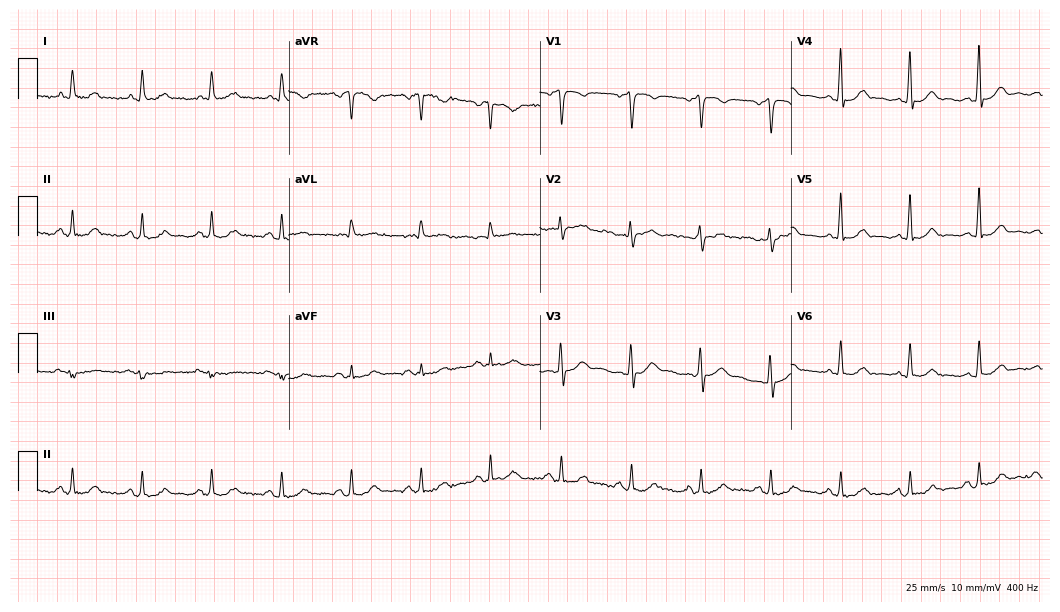
12-lead ECG (10.2-second recording at 400 Hz) from a 66-year-old male. Labelled as a normal ECG.